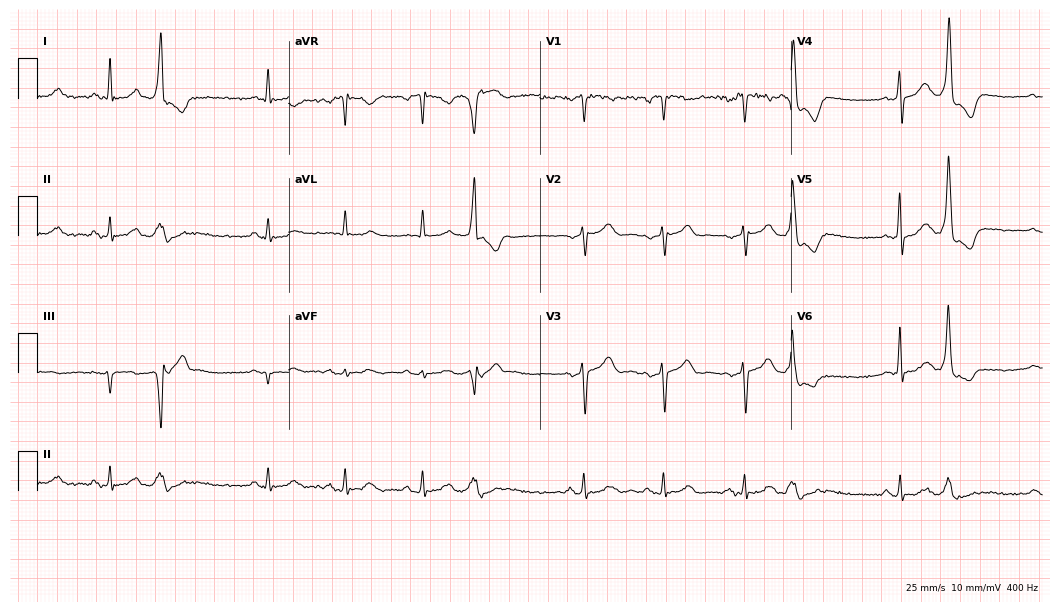
Resting 12-lead electrocardiogram. Patient: a female, 61 years old. None of these six findings is recorded: first-degree AV block, right bundle branch block, left bundle branch block, sinus bradycardia, atrial fibrillation, sinus tachycardia. Other findings, if any, are not listed.